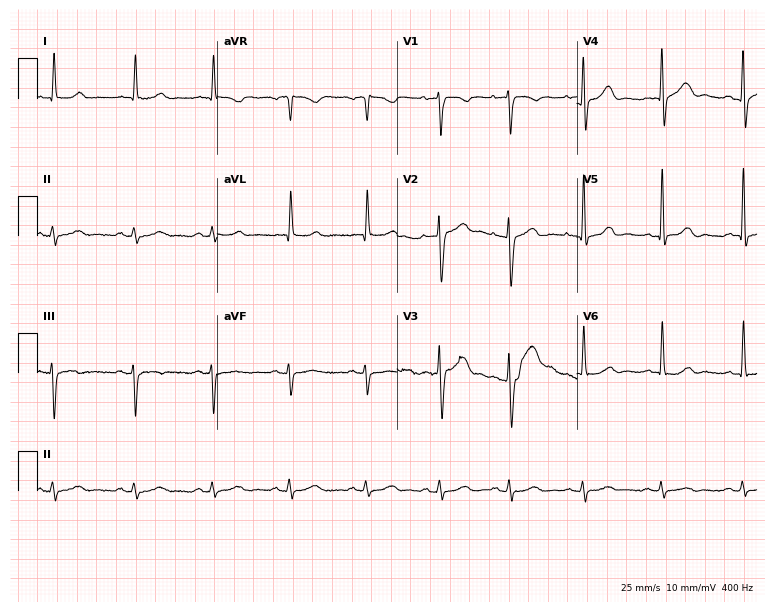
12-lead ECG from an 81-year-old man (7.3-second recording at 400 Hz). Recorded interpretation: within normal limits.